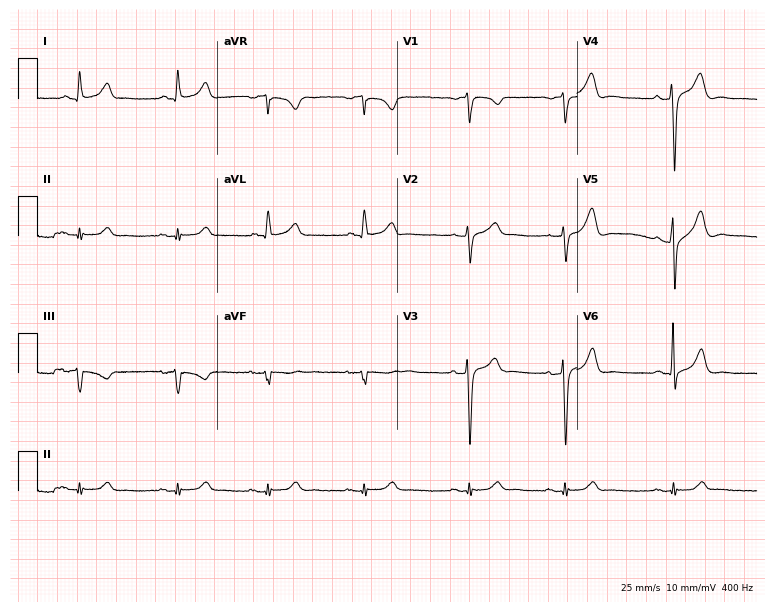
Resting 12-lead electrocardiogram (7.3-second recording at 400 Hz). Patient: a male, 79 years old. Read as a normal ECG.